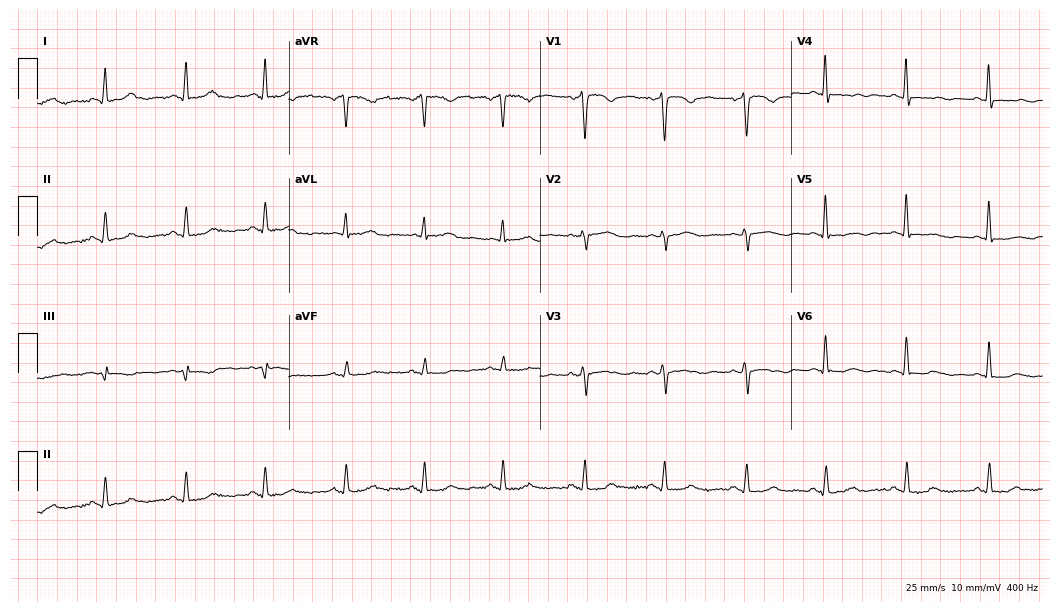
Electrocardiogram, a 49-year-old female patient. Overall reading on record: normal ECG.